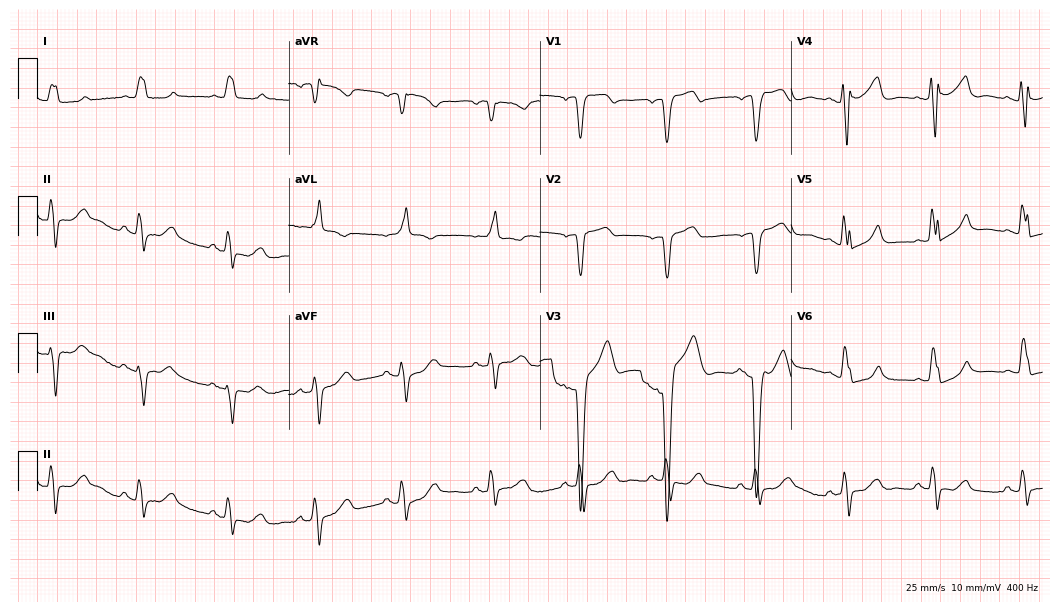
12-lead ECG (10.2-second recording at 400 Hz) from a woman, 82 years old. Findings include left bundle branch block (LBBB).